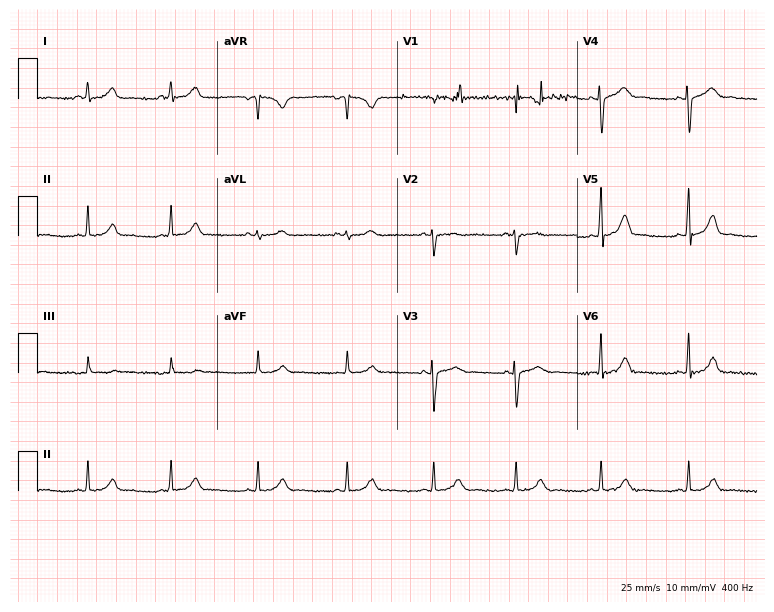
12-lead ECG from a 27-year-old woman (7.3-second recording at 400 Hz). Recorded interpretation: within normal limits.